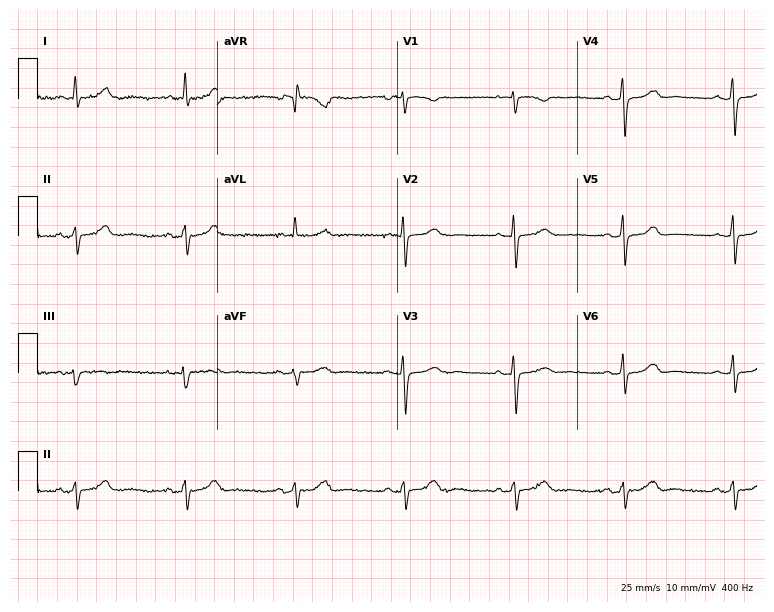
ECG — a 72-year-old female. Screened for six findings — first-degree AV block, right bundle branch block, left bundle branch block, sinus bradycardia, atrial fibrillation, sinus tachycardia — none is recorded. Only these six findings were labelled.